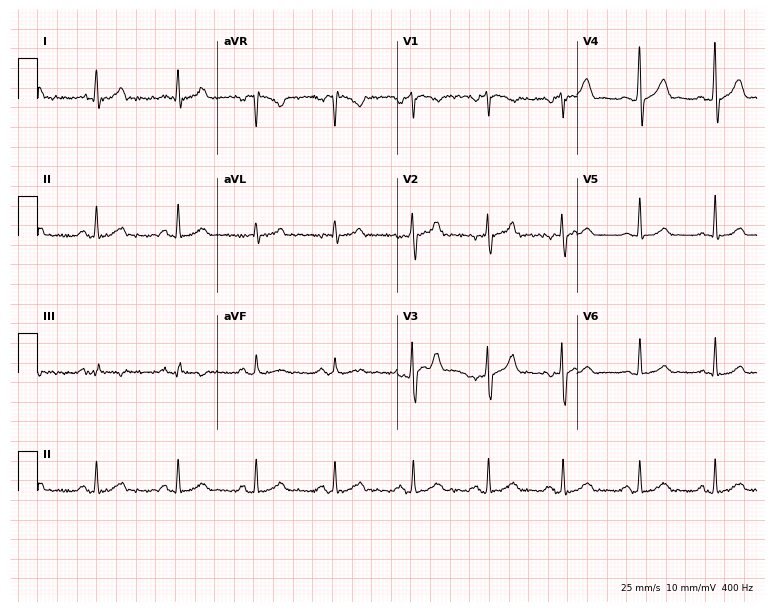
Electrocardiogram (7.3-second recording at 400 Hz), a 32-year-old male. Of the six screened findings (first-degree AV block, right bundle branch block (RBBB), left bundle branch block (LBBB), sinus bradycardia, atrial fibrillation (AF), sinus tachycardia), none is recorded. Other findings, if any, are not listed.